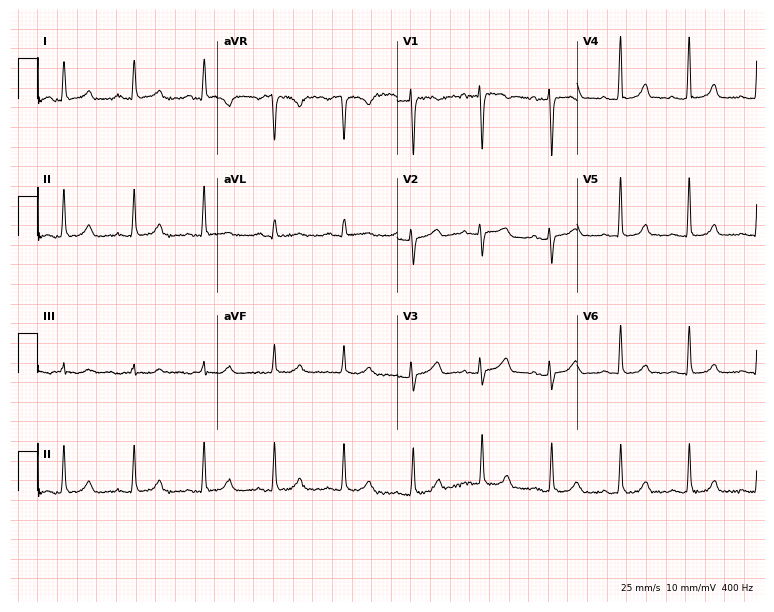
12-lead ECG (7.3-second recording at 400 Hz) from a female, 52 years old. Labelled as a normal ECG.